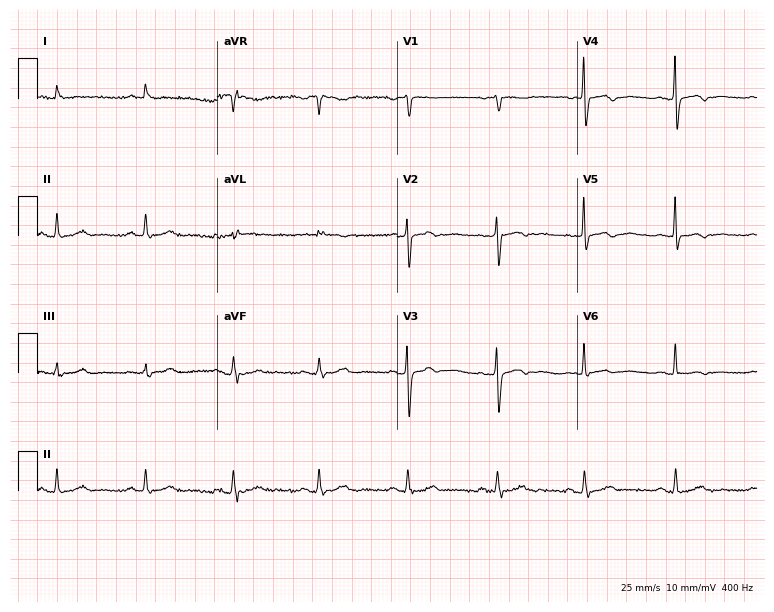
Resting 12-lead electrocardiogram. Patient: a 76-year-old male. None of these six findings is recorded: first-degree AV block, right bundle branch block, left bundle branch block, sinus bradycardia, atrial fibrillation, sinus tachycardia.